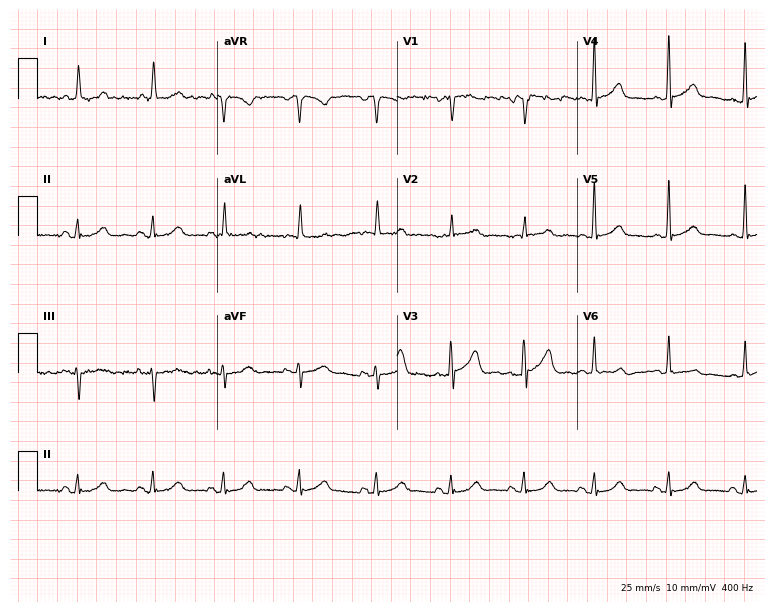
12-lead ECG (7.3-second recording at 400 Hz) from a female patient, 90 years old or older. Labelled as a normal ECG.